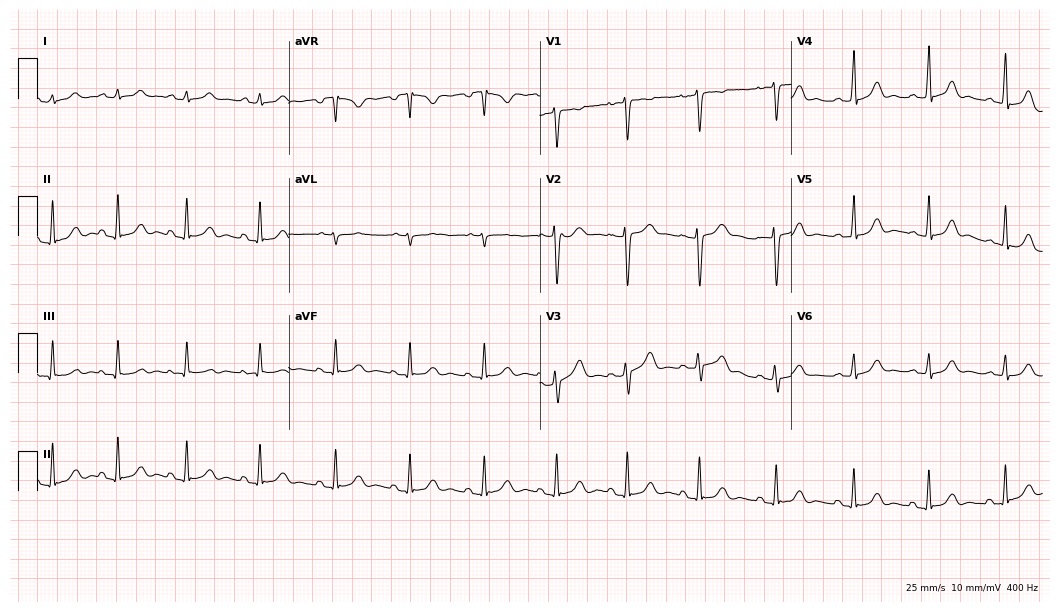
Standard 12-lead ECG recorded from a 17-year-old female patient. Read as a normal ECG.